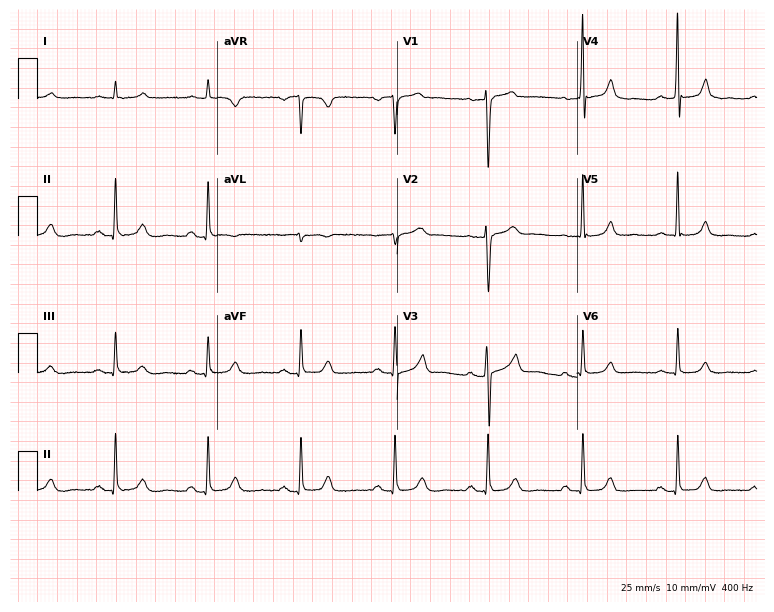
12-lead ECG (7.3-second recording at 400 Hz) from a man, 74 years old. Labelled as a normal ECG.